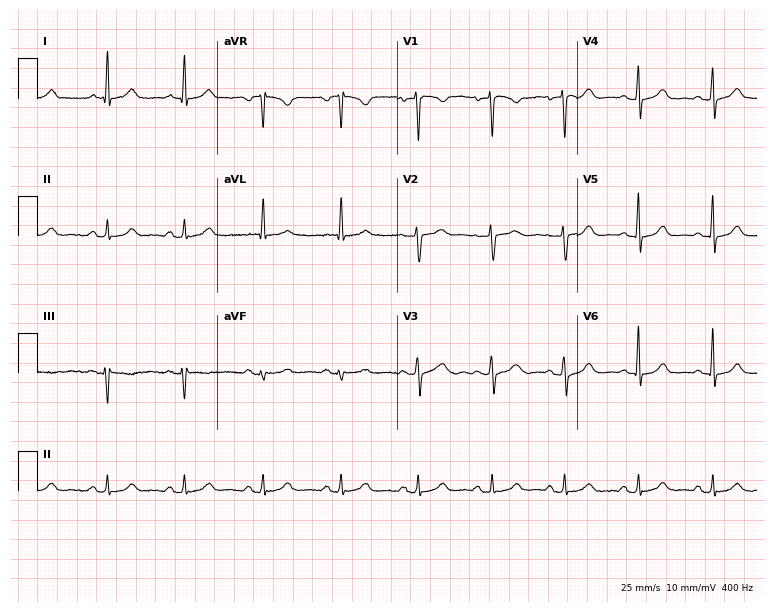
Resting 12-lead electrocardiogram. Patient: a 45-year-old woman. None of these six findings is recorded: first-degree AV block, right bundle branch block, left bundle branch block, sinus bradycardia, atrial fibrillation, sinus tachycardia.